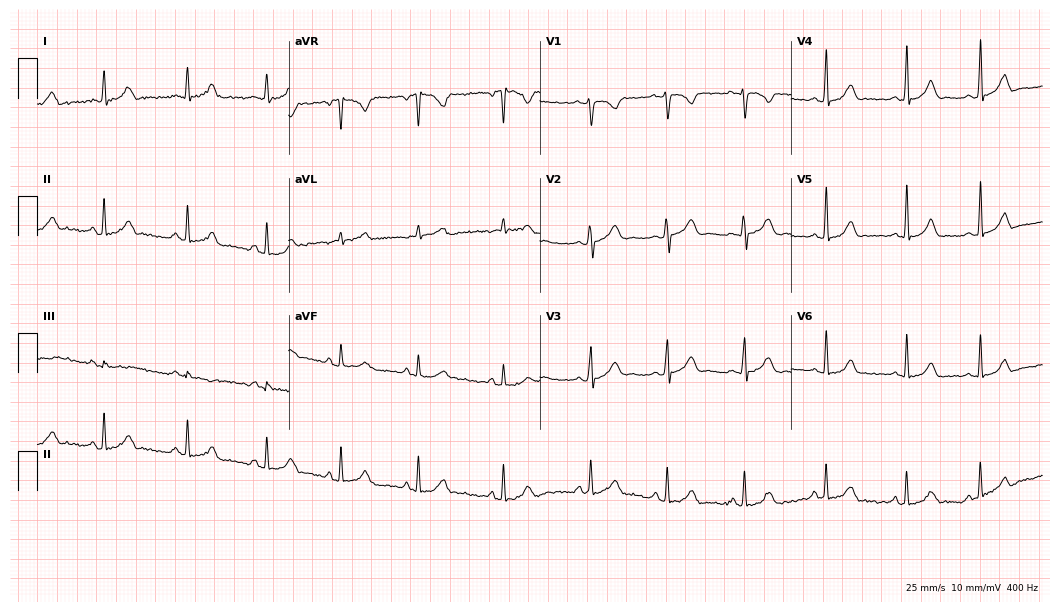
ECG — a woman, 21 years old. Labelled as a normal ECG.